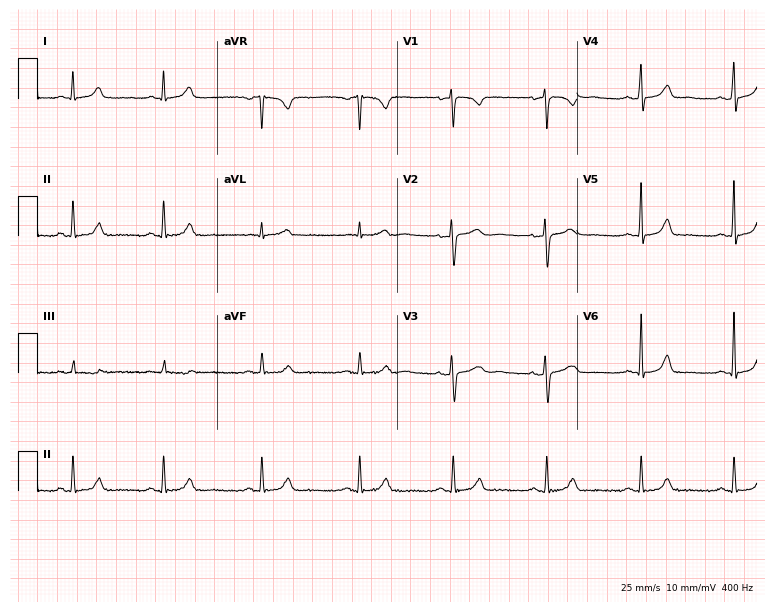
Electrocardiogram (7.3-second recording at 400 Hz), a female patient, 35 years old. Overall reading on record: normal ECG.